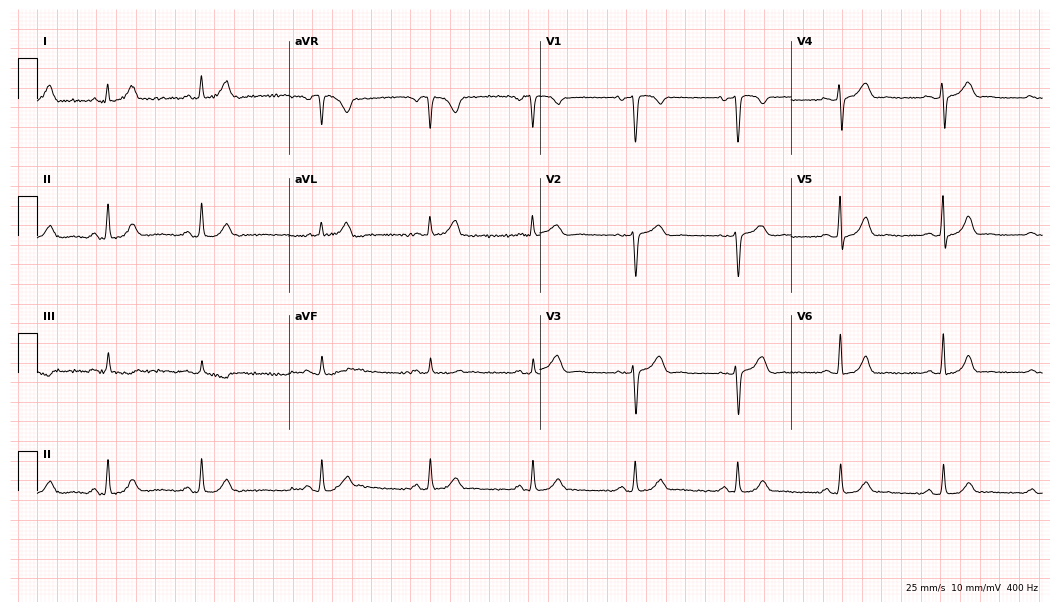
12-lead ECG (10.2-second recording at 400 Hz) from a female patient, 43 years old. Screened for six findings — first-degree AV block, right bundle branch block, left bundle branch block, sinus bradycardia, atrial fibrillation, sinus tachycardia — none is recorded.